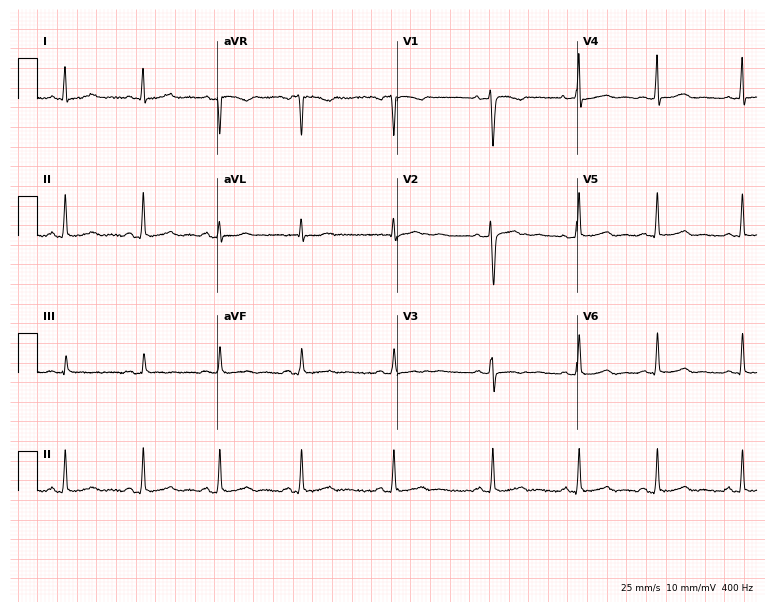
Electrocardiogram (7.3-second recording at 400 Hz), a 35-year-old female patient. Overall reading on record: normal ECG.